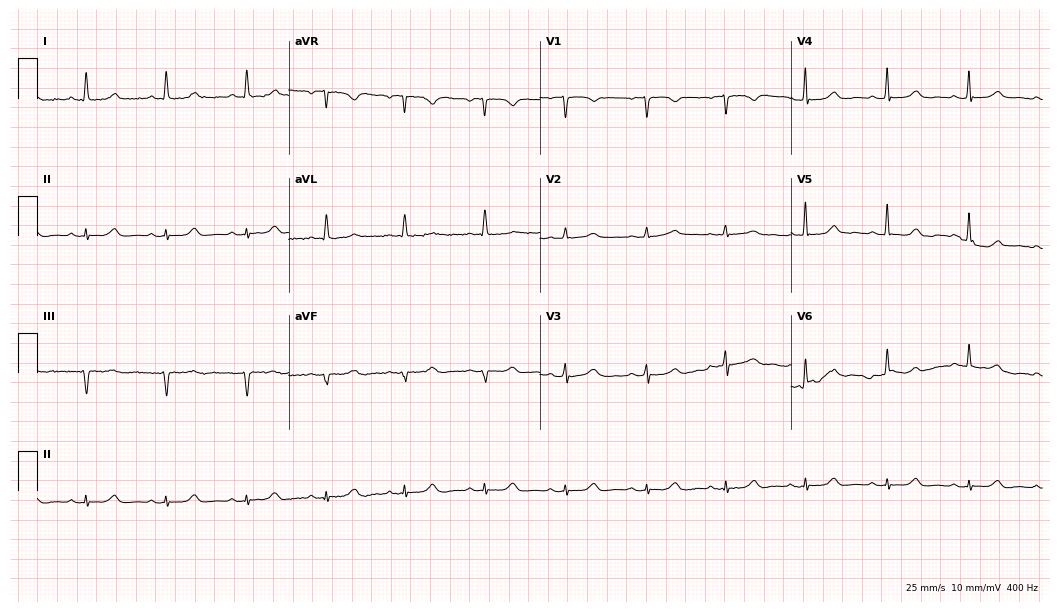
Electrocardiogram (10.2-second recording at 400 Hz), a woman, 68 years old. Overall reading on record: normal ECG.